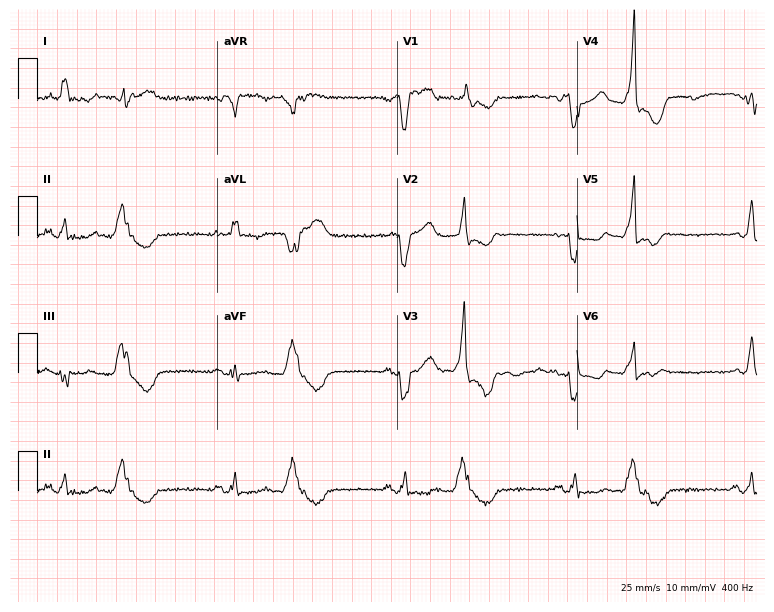
Electrocardiogram (7.3-second recording at 400 Hz), a male patient, 80 years old. Interpretation includes left bundle branch block.